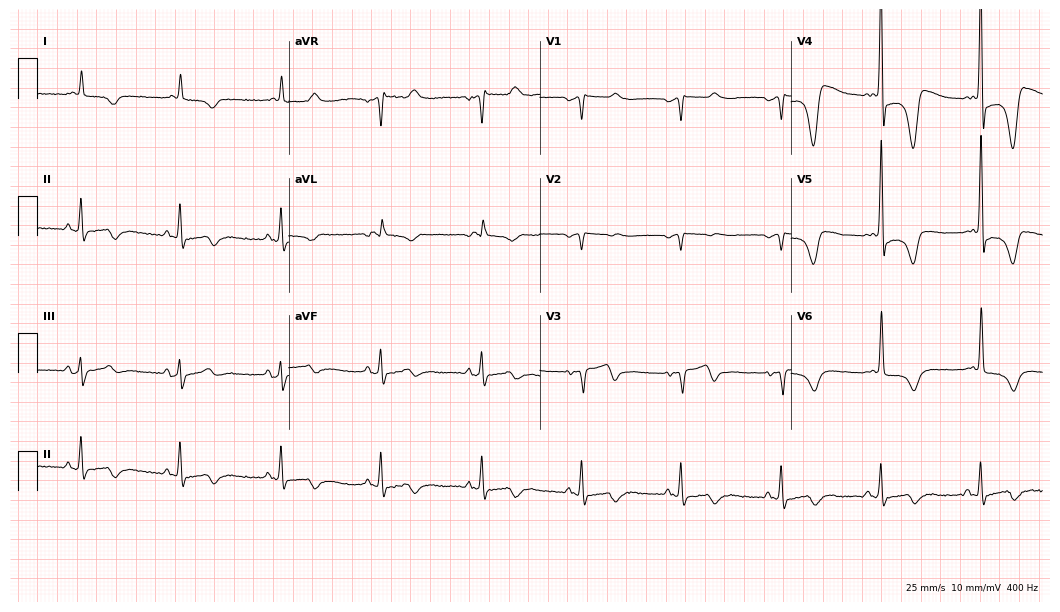
Electrocardiogram (10.2-second recording at 400 Hz), a male patient, 80 years old. Of the six screened findings (first-degree AV block, right bundle branch block, left bundle branch block, sinus bradycardia, atrial fibrillation, sinus tachycardia), none is recorded.